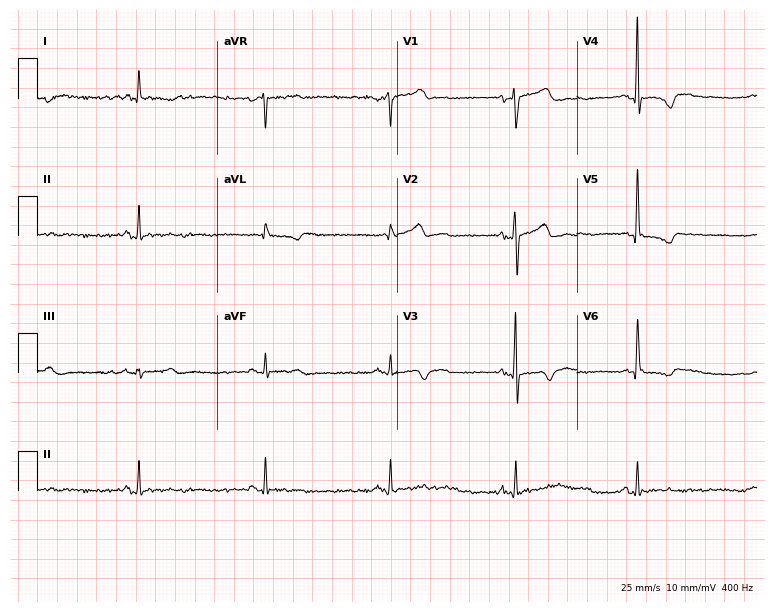
Resting 12-lead electrocardiogram (7.3-second recording at 400 Hz). Patient: a 40-year-old male. None of these six findings is recorded: first-degree AV block, right bundle branch block, left bundle branch block, sinus bradycardia, atrial fibrillation, sinus tachycardia.